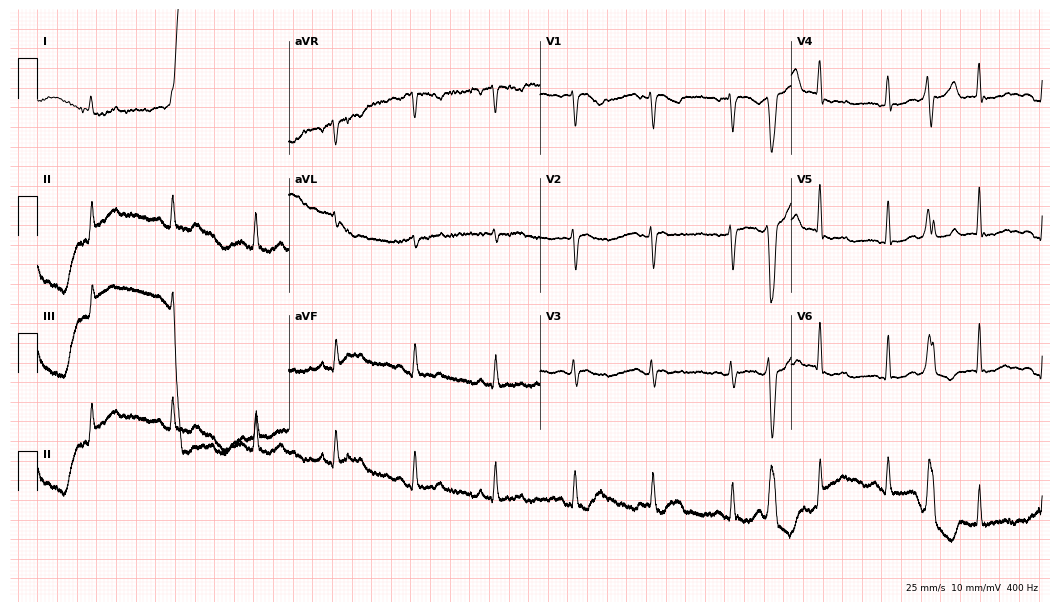
Resting 12-lead electrocardiogram (10.2-second recording at 400 Hz). Patient: a 41-year-old woman. None of these six findings is recorded: first-degree AV block, right bundle branch block, left bundle branch block, sinus bradycardia, atrial fibrillation, sinus tachycardia.